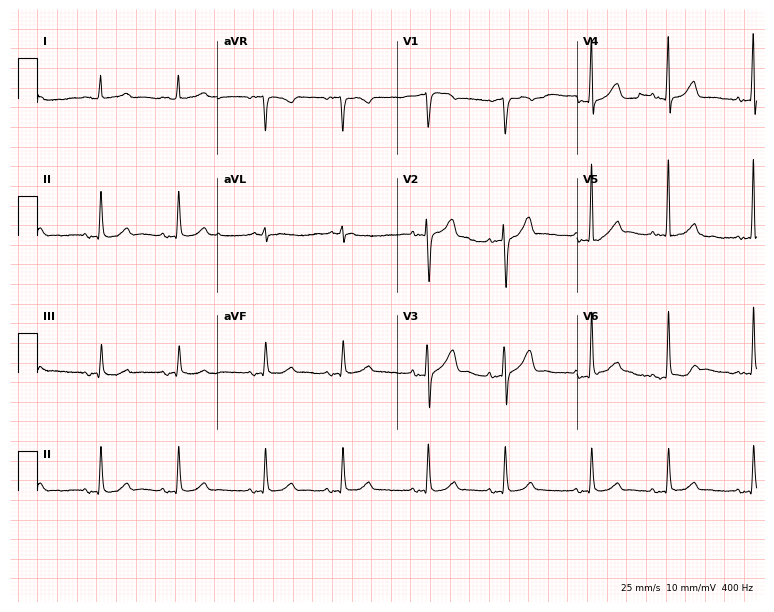
Standard 12-lead ECG recorded from a male patient, 83 years old. Read as a normal ECG.